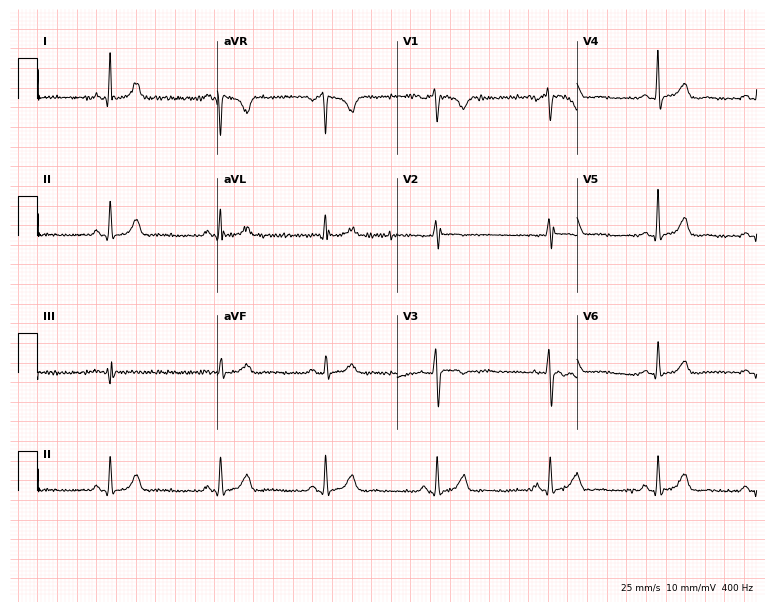
12-lead ECG from a 39-year-old female patient. Screened for six findings — first-degree AV block, right bundle branch block, left bundle branch block, sinus bradycardia, atrial fibrillation, sinus tachycardia — none is recorded.